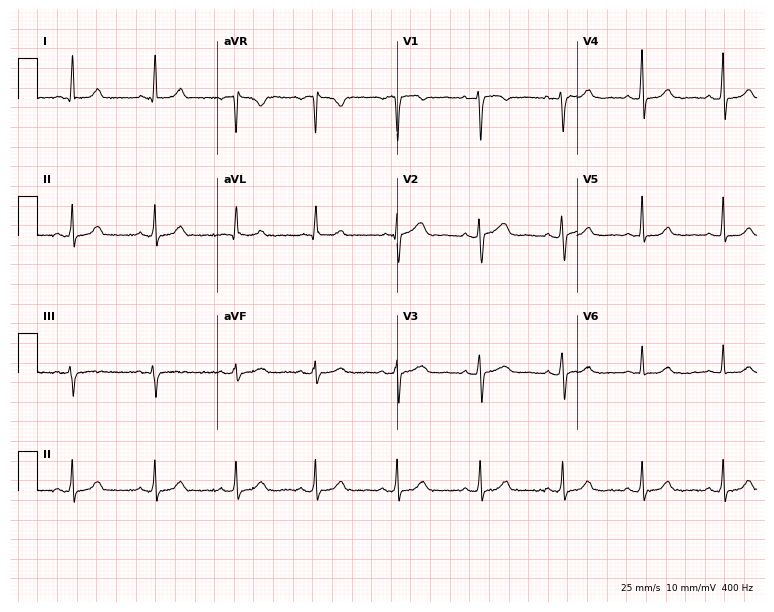
12-lead ECG from a female, 58 years old. Labelled as a normal ECG.